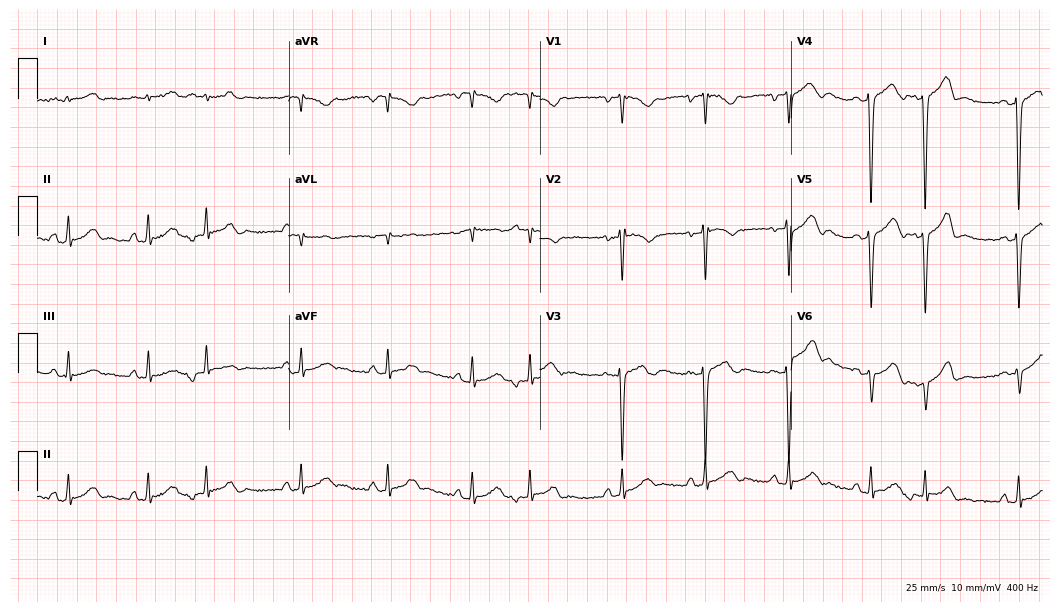
12-lead ECG from a male, 51 years old (10.2-second recording at 400 Hz). No first-degree AV block, right bundle branch block, left bundle branch block, sinus bradycardia, atrial fibrillation or sinus tachycardia recorded for this tracing. Only these six findings were labelled.